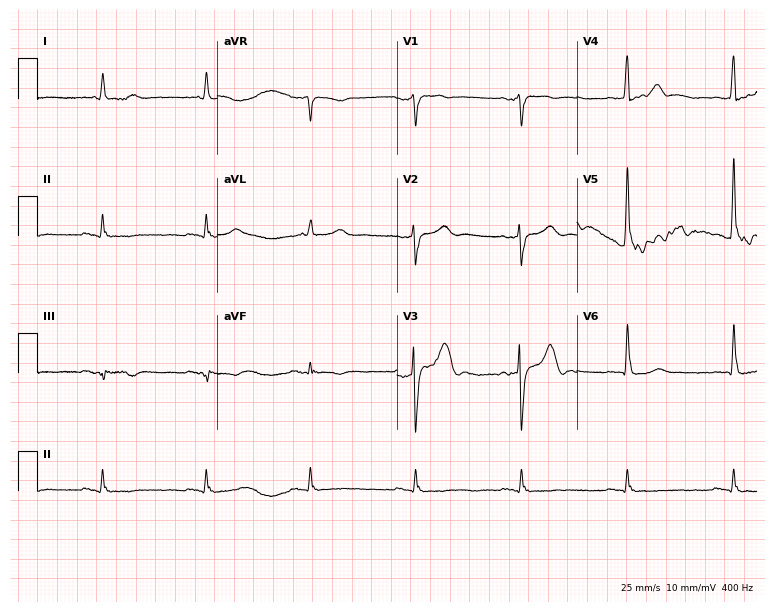
12-lead ECG from an 80-year-old male. Recorded interpretation: within normal limits.